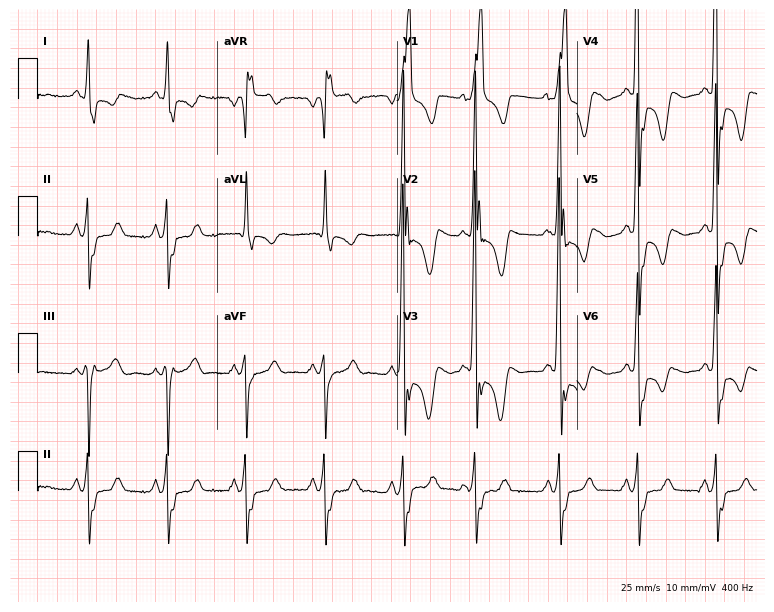
12-lead ECG from a male, 68 years old. Findings include right bundle branch block.